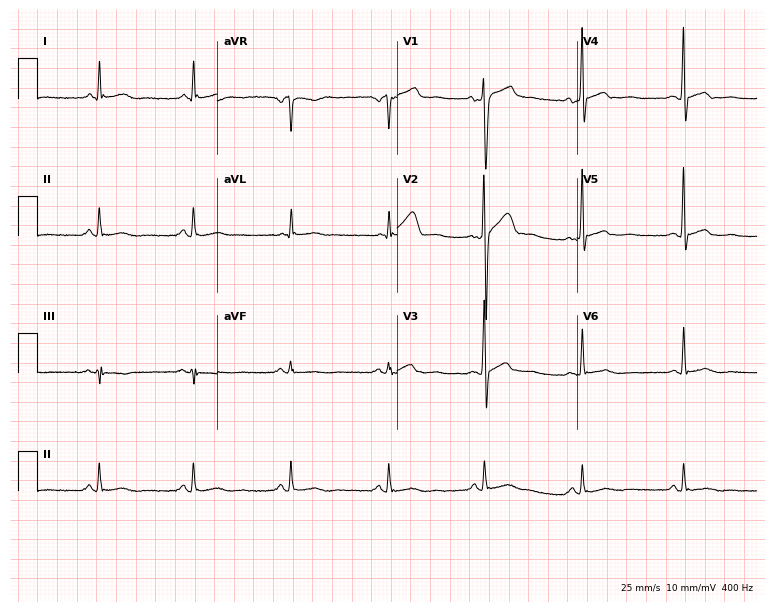
12-lead ECG from a 39-year-old man (7.3-second recording at 400 Hz). No first-degree AV block, right bundle branch block (RBBB), left bundle branch block (LBBB), sinus bradycardia, atrial fibrillation (AF) or sinus tachycardia recorded for this tracing. Only these six findings were labelled.